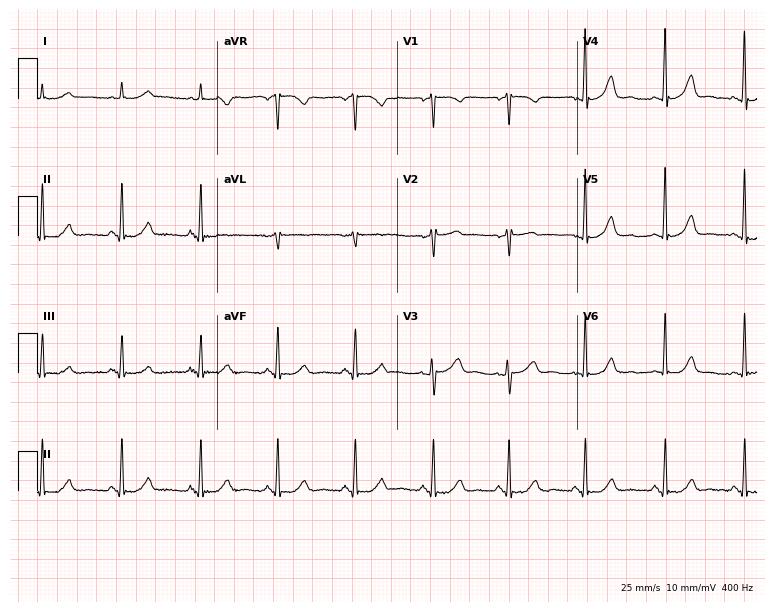
Electrocardiogram, a woman, 53 years old. Of the six screened findings (first-degree AV block, right bundle branch block (RBBB), left bundle branch block (LBBB), sinus bradycardia, atrial fibrillation (AF), sinus tachycardia), none is recorded. Findings outside these six are not listed.